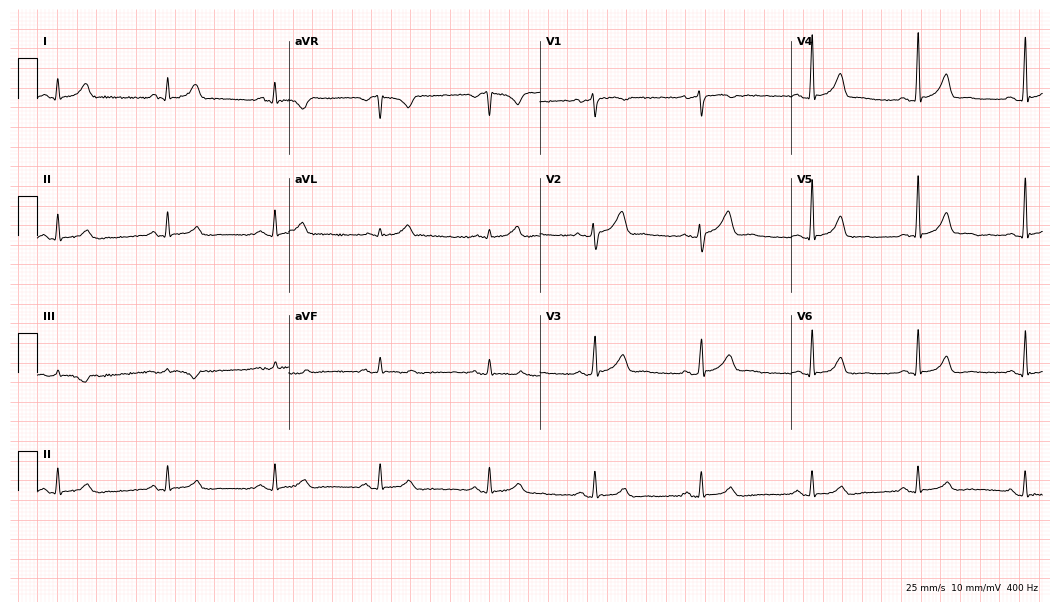
Resting 12-lead electrocardiogram. Patient: a female, 46 years old. Read as a normal ECG.